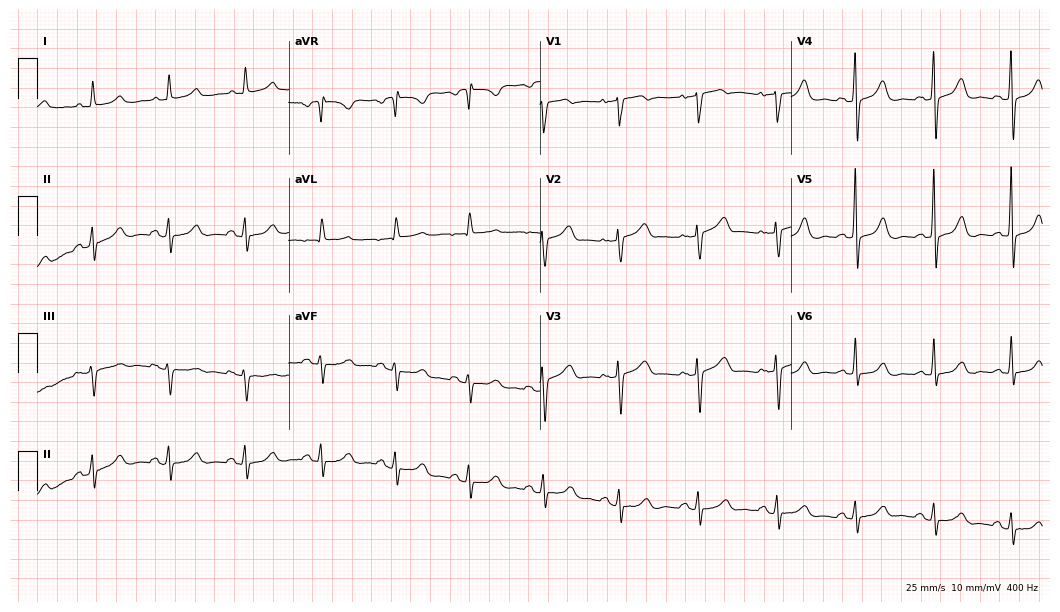
Resting 12-lead electrocardiogram. Patient: a 75-year-old woman. Read as a normal ECG.